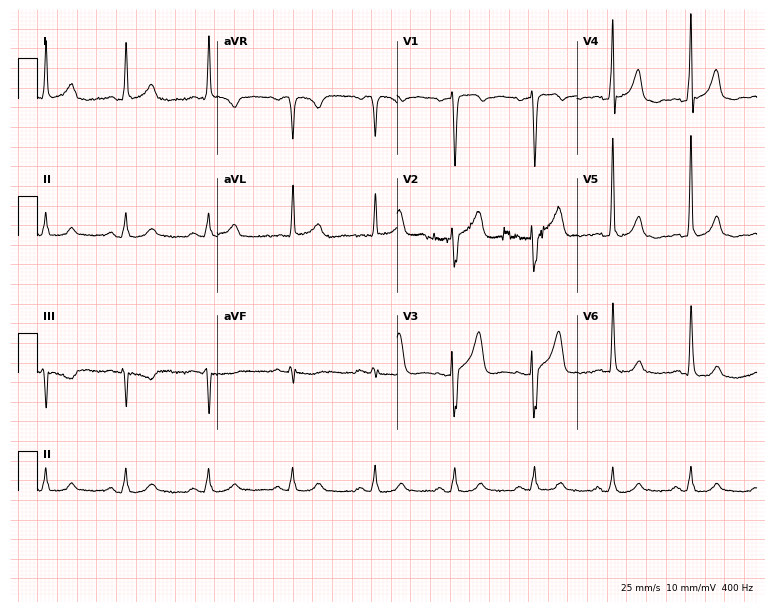
Electrocardiogram (7.3-second recording at 400 Hz), a 69-year-old man. Of the six screened findings (first-degree AV block, right bundle branch block (RBBB), left bundle branch block (LBBB), sinus bradycardia, atrial fibrillation (AF), sinus tachycardia), none is recorded.